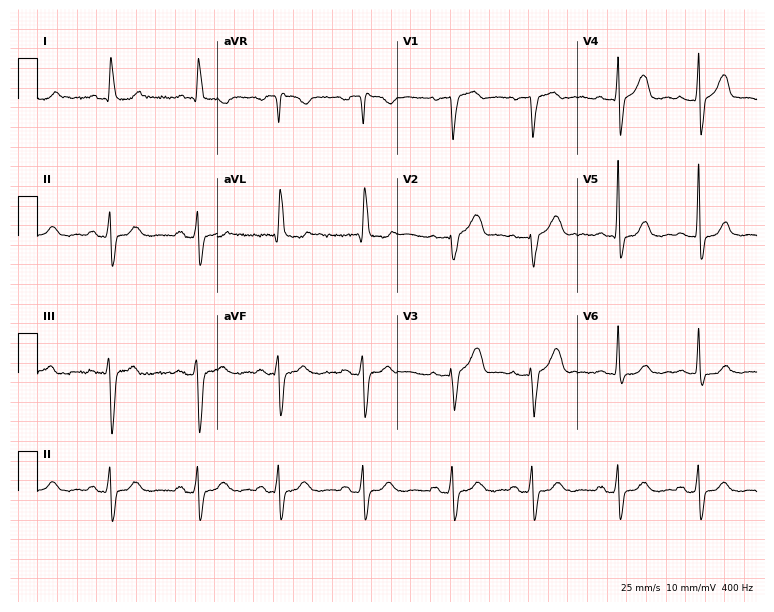
12-lead ECG (7.3-second recording at 400 Hz) from a female patient, 76 years old. Screened for six findings — first-degree AV block, right bundle branch block, left bundle branch block, sinus bradycardia, atrial fibrillation, sinus tachycardia — none is recorded. Other findings, if any, are not listed.